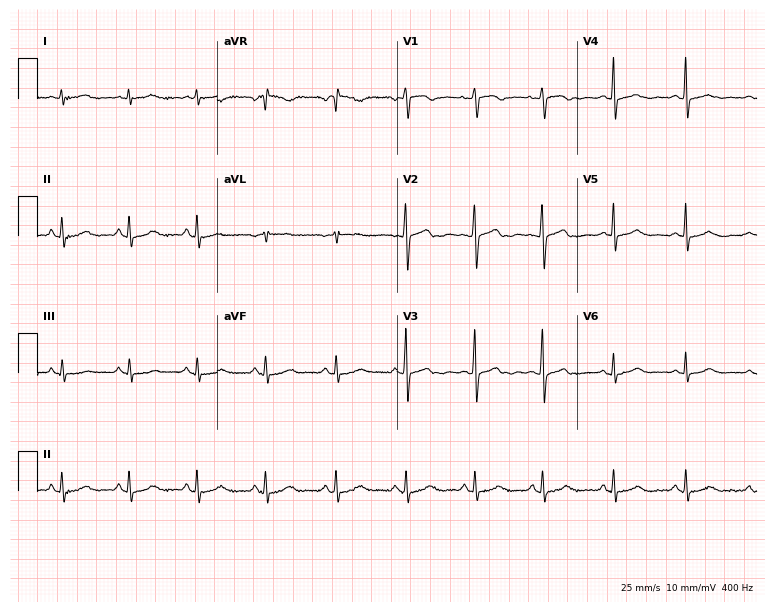
Resting 12-lead electrocardiogram (7.3-second recording at 400 Hz). Patient: a female, 43 years old. Read as a normal ECG.